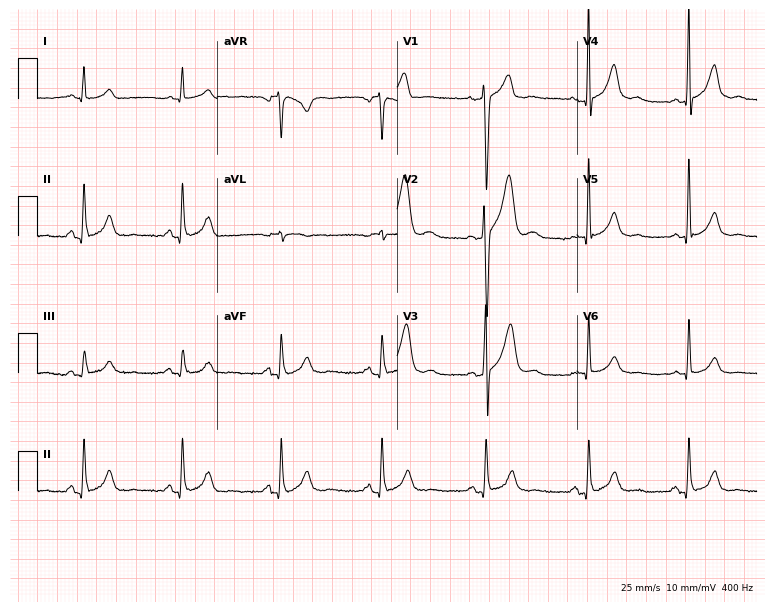
12-lead ECG from a 42-year-old male patient. Labelled as a normal ECG.